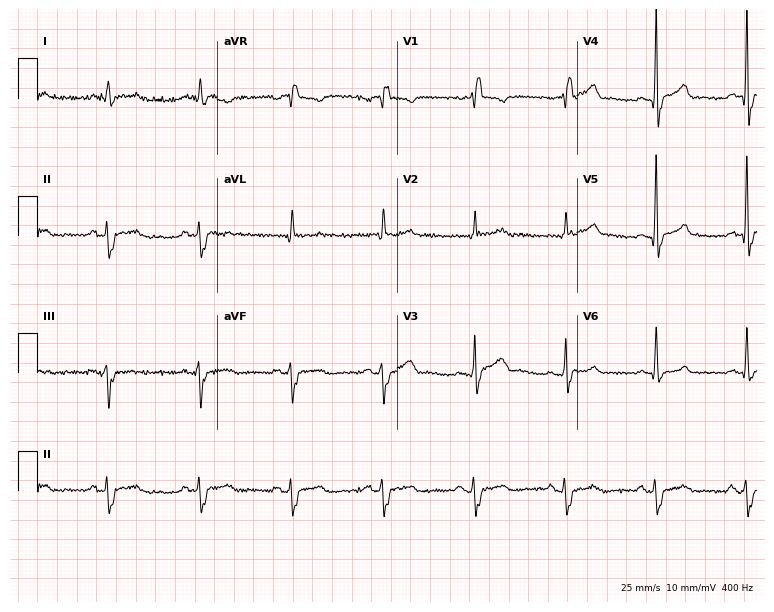
Electrocardiogram, a male, 56 years old. Interpretation includes right bundle branch block (RBBB).